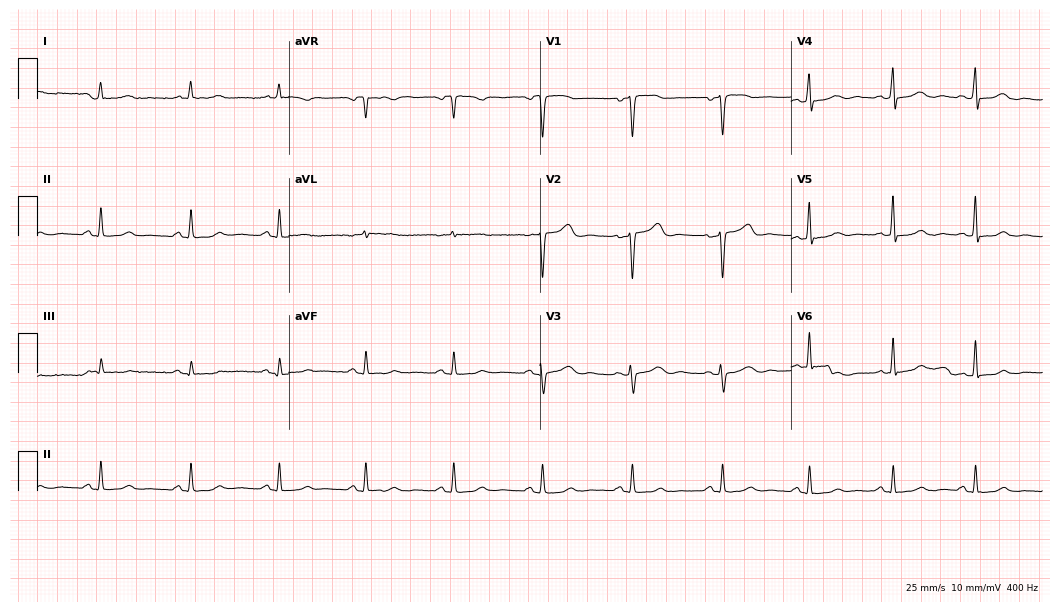
12-lead ECG from a 49-year-old female patient. Recorded interpretation: within normal limits.